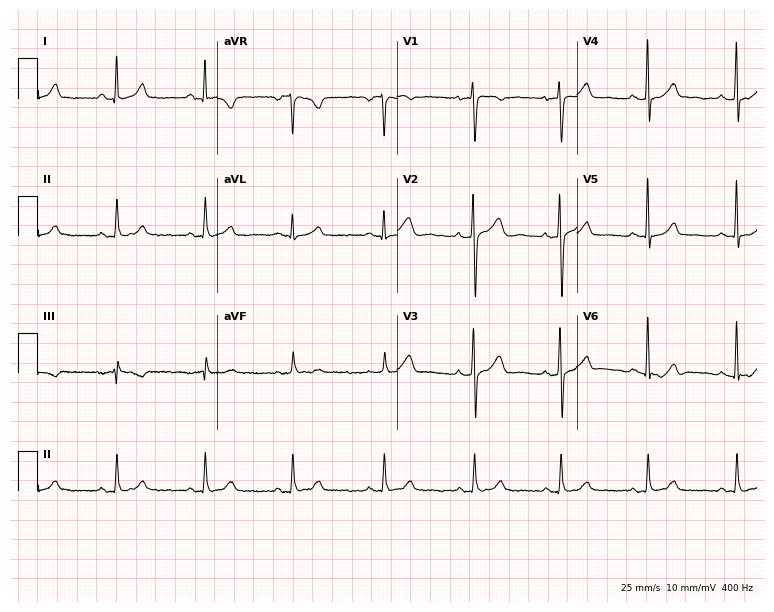
Standard 12-lead ECG recorded from a female, 44 years old. None of these six findings is recorded: first-degree AV block, right bundle branch block (RBBB), left bundle branch block (LBBB), sinus bradycardia, atrial fibrillation (AF), sinus tachycardia.